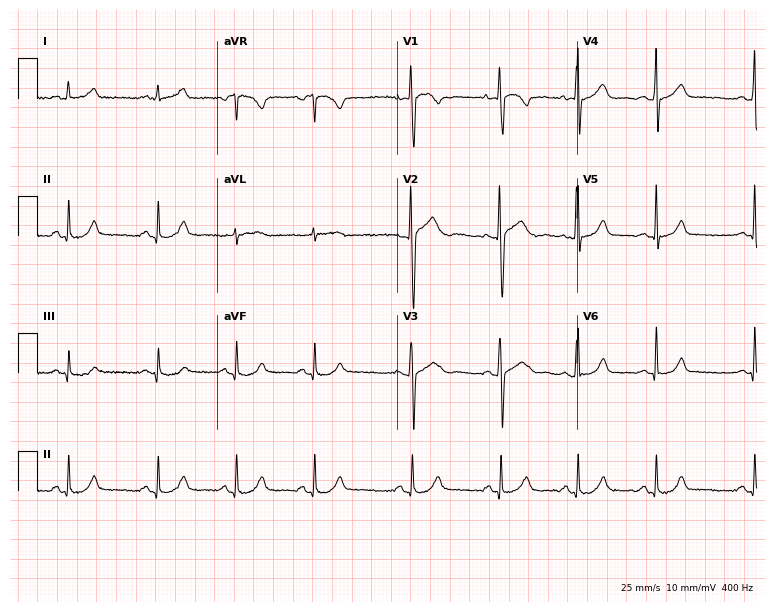
Standard 12-lead ECG recorded from a man, 19 years old (7.3-second recording at 400 Hz). Read as a normal ECG.